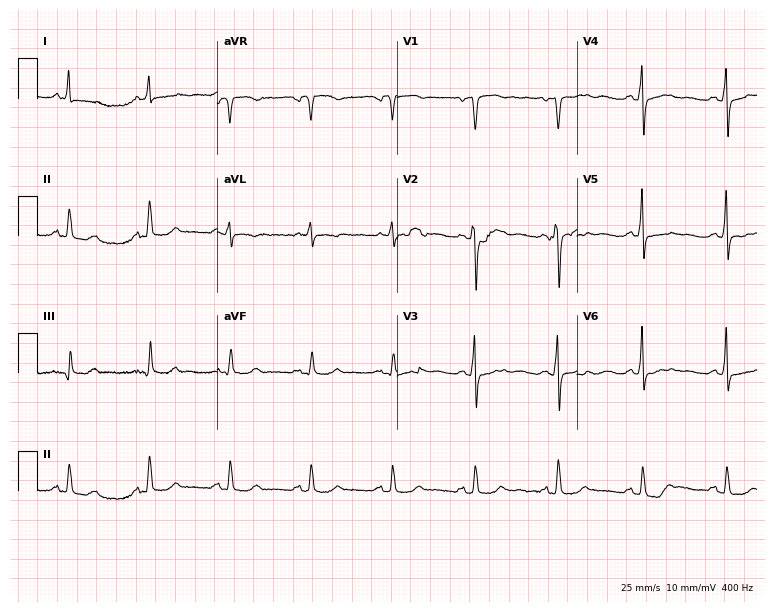
Standard 12-lead ECG recorded from a female, 69 years old (7.3-second recording at 400 Hz). None of these six findings is recorded: first-degree AV block, right bundle branch block (RBBB), left bundle branch block (LBBB), sinus bradycardia, atrial fibrillation (AF), sinus tachycardia. Other findings, if any, are not listed.